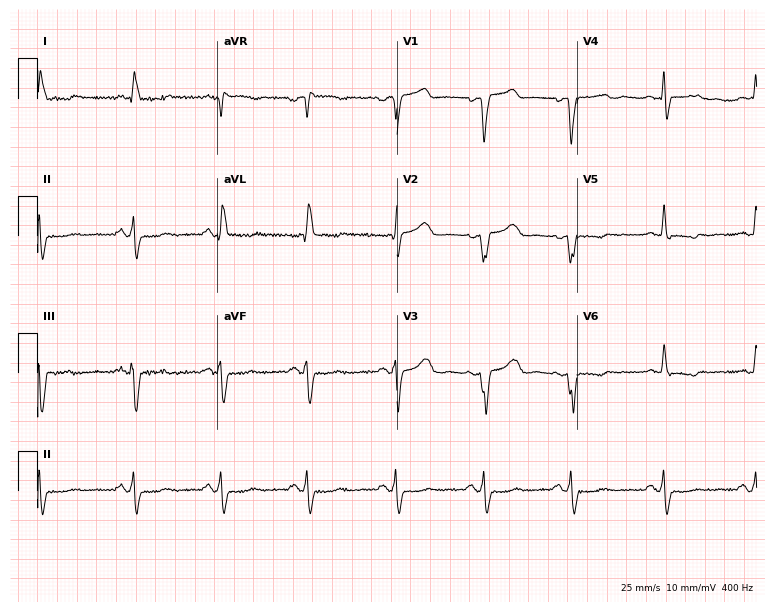
Electrocardiogram, a woman, 49 years old. Interpretation includes left bundle branch block (LBBB).